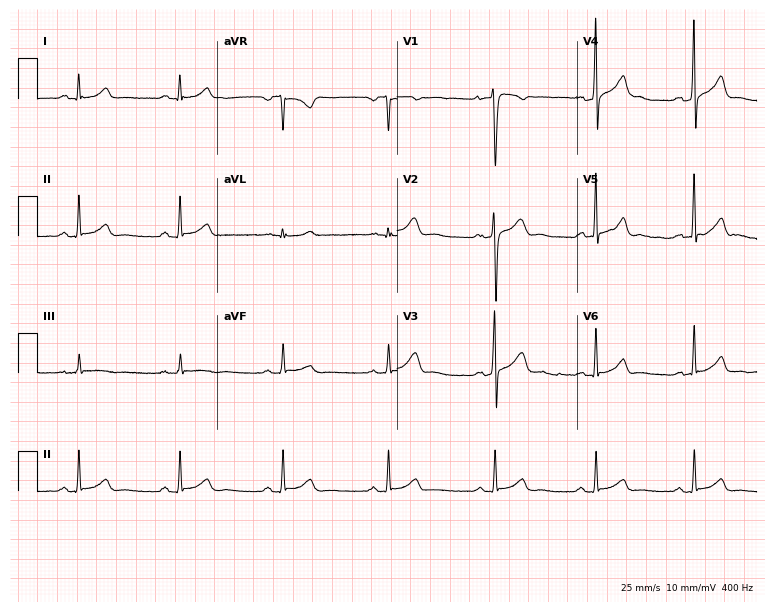
Electrocardiogram (7.3-second recording at 400 Hz), a male patient, 28 years old. Overall reading on record: normal ECG.